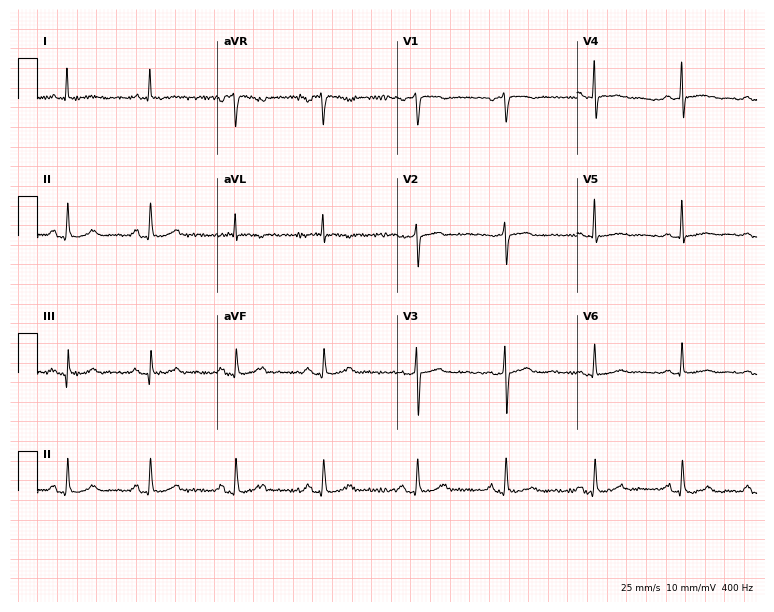
Resting 12-lead electrocardiogram (7.3-second recording at 400 Hz). Patient: a female, 48 years old. None of these six findings is recorded: first-degree AV block, right bundle branch block, left bundle branch block, sinus bradycardia, atrial fibrillation, sinus tachycardia. Only these six findings were labelled.